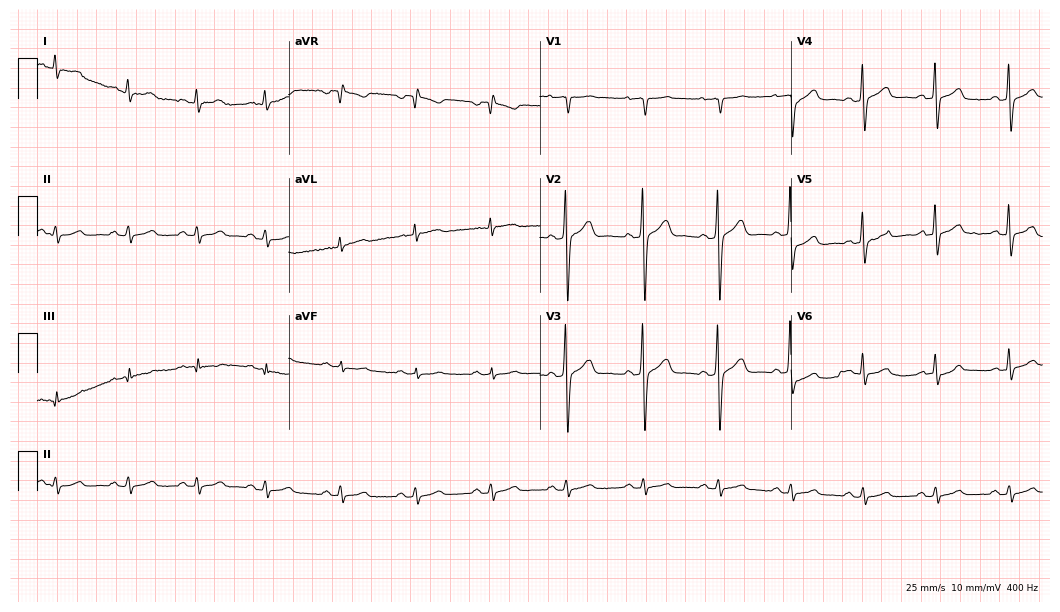
Resting 12-lead electrocardiogram. Patient: a 47-year-old male. Read as a normal ECG.